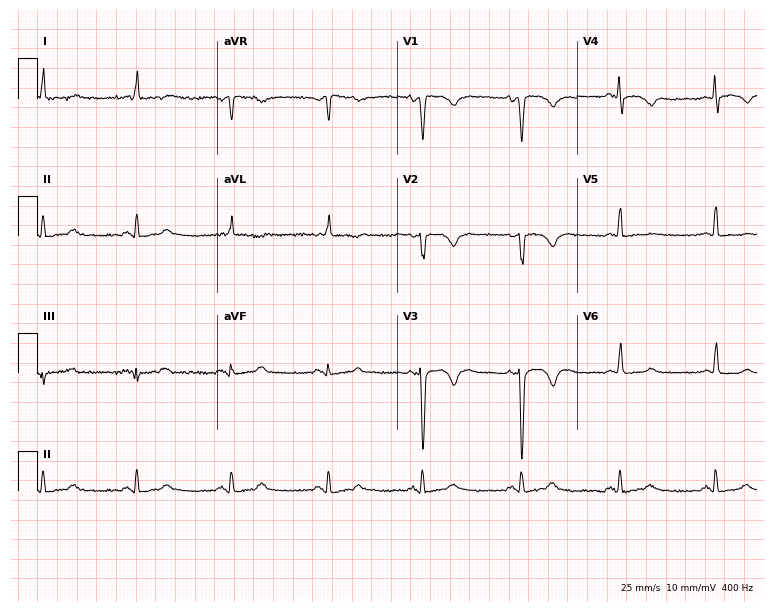
ECG (7.3-second recording at 400 Hz) — a woman, 48 years old. Screened for six findings — first-degree AV block, right bundle branch block (RBBB), left bundle branch block (LBBB), sinus bradycardia, atrial fibrillation (AF), sinus tachycardia — none is recorded. Only these six findings were labelled.